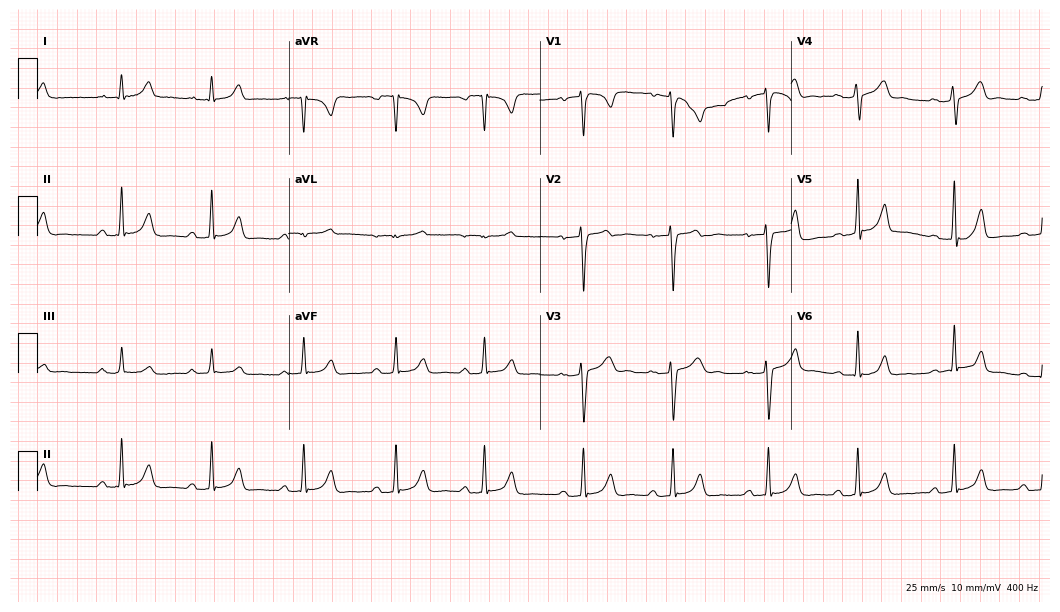
Resting 12-lead electrocardiogram. Patient: a 21-year-old woman. Read as a normal ECG.